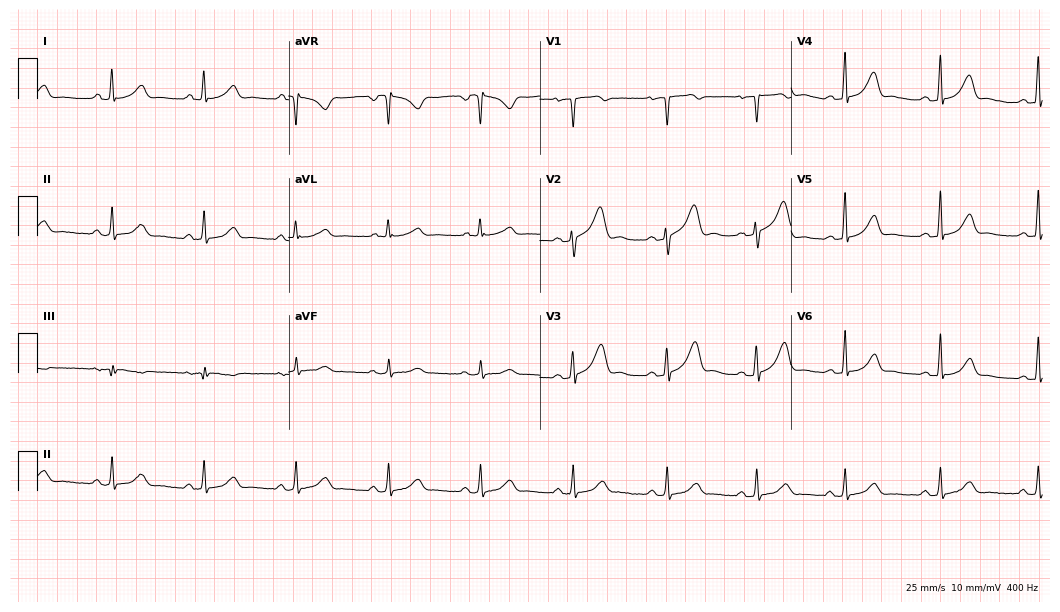
ECG — a woman, 35 years old. Screened for six findings — first-degree AV block, right bundle branch block (RBBB), left bundle branch block (LBBB), sinus bradycardia, atrial fibrillation (AF), sinus tachycardia — none is recorded.